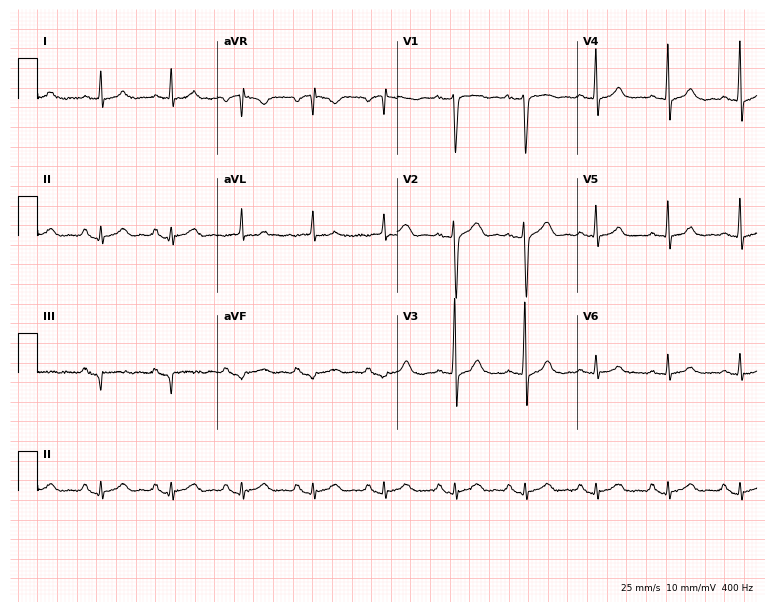
ECG — a man, 66 years old. Screened for six findings — first-degree AV block, right bundle branch block (RBBB), left bundle branch block (LBBB), sinus bradycardia, atrial fibrillation (AF), sinus tachycardia — none is recorded. Only these six findings were labelled.